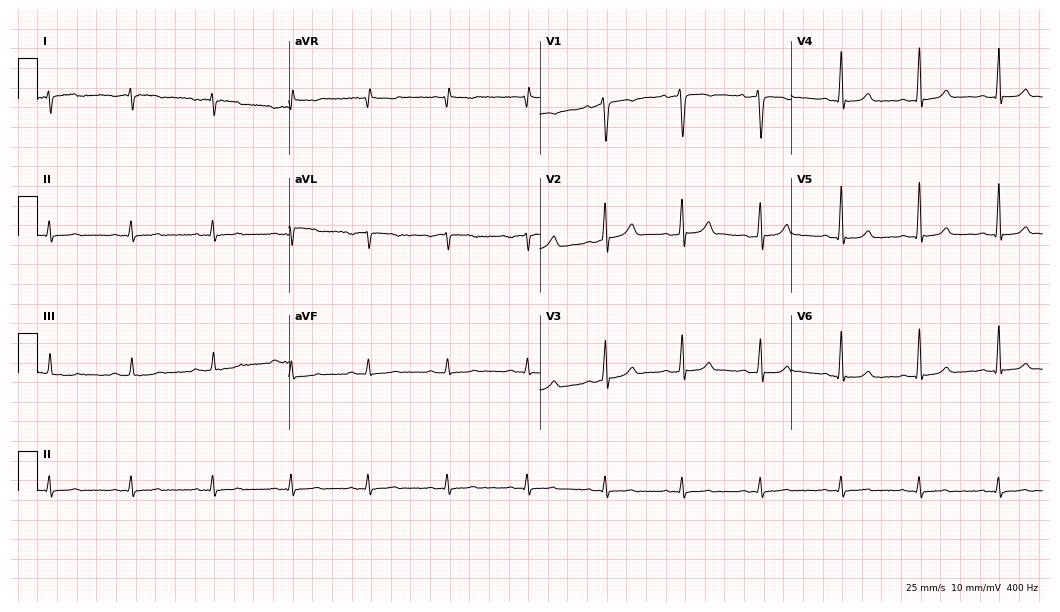
Resting 12-lead electrocardiogram. Patient: a 42-year-old female. None of these six findings is recorded: first-degree AV block, right bundle branch block, left bundle branch block, sinus bradycardia, atrial fibrillation, sinus tachycardia.